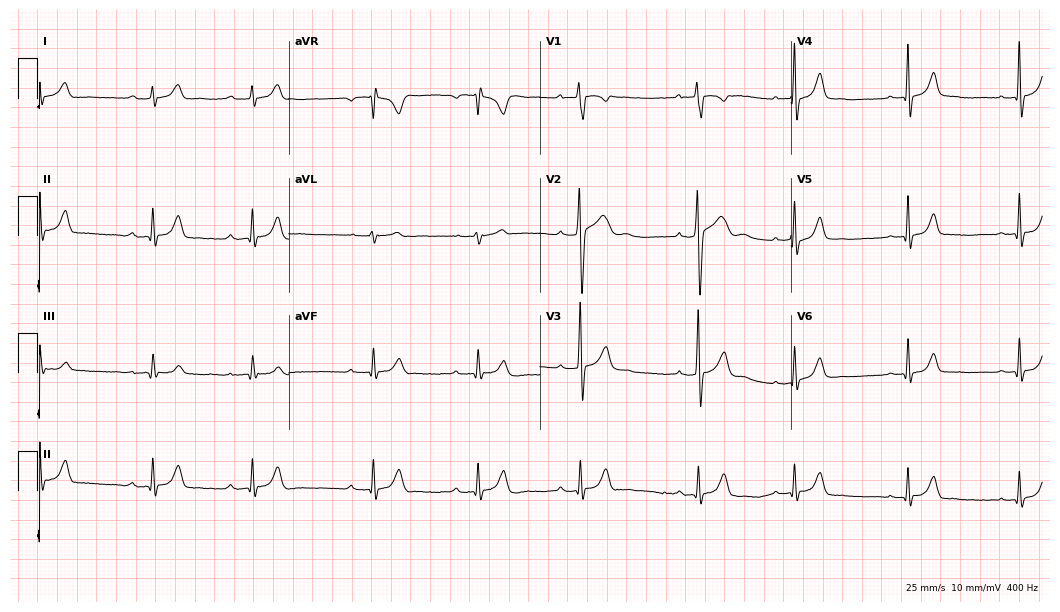
Resting 12-lead electrocardiogram (10.2-second recording at 400 Hz). Patient: a man, 17 years old. The tracing shows first-degree AV block.